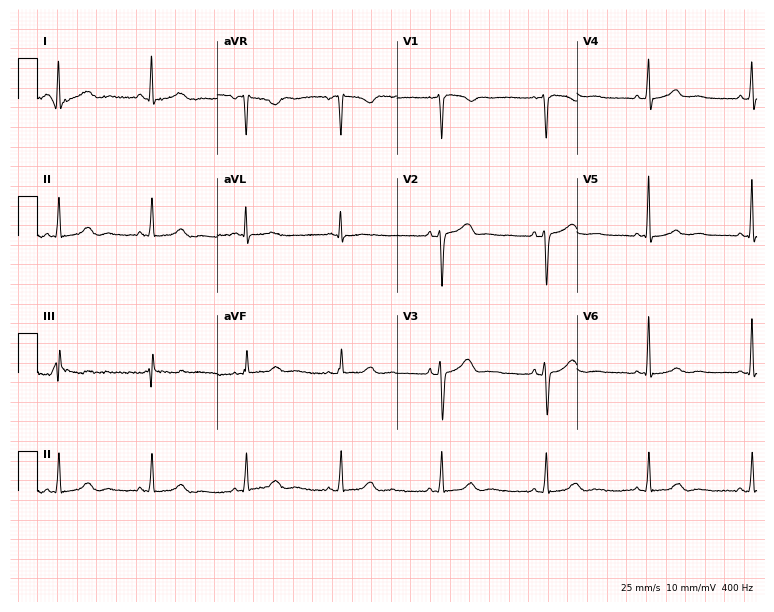
Electrocardiogram (7.3-second recording at 400 Hz), a woman, 62 years old. Overall reading on record: normal ECG.